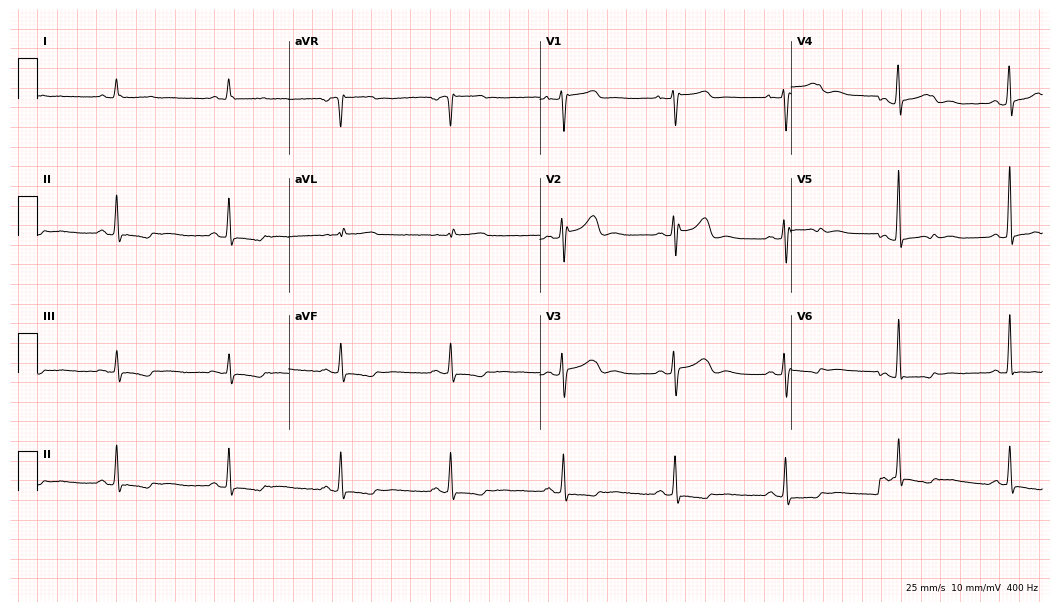
Resting 12-lead electrocardiogram (10.2-second recording at 400 Hz). Patient: a woman, 61 years old. None of these six findings is recorded: first-degree AV block, right bundle branch block, left bundle branch block, sinus bradycardia, atrial fibrillation, sinus tachycardia.